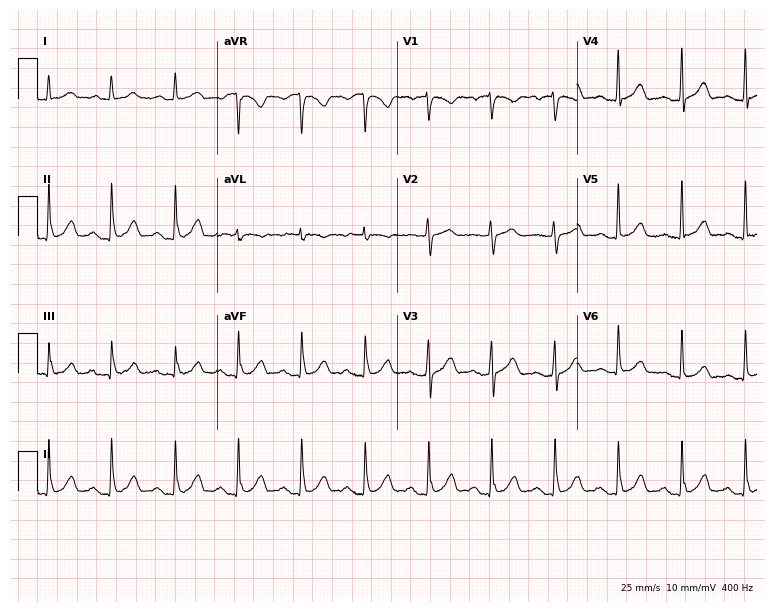
12-lead ECG (7.3-second recording at 400 Hz) from a woman, 83 years old. Labelled as a normal ECG.